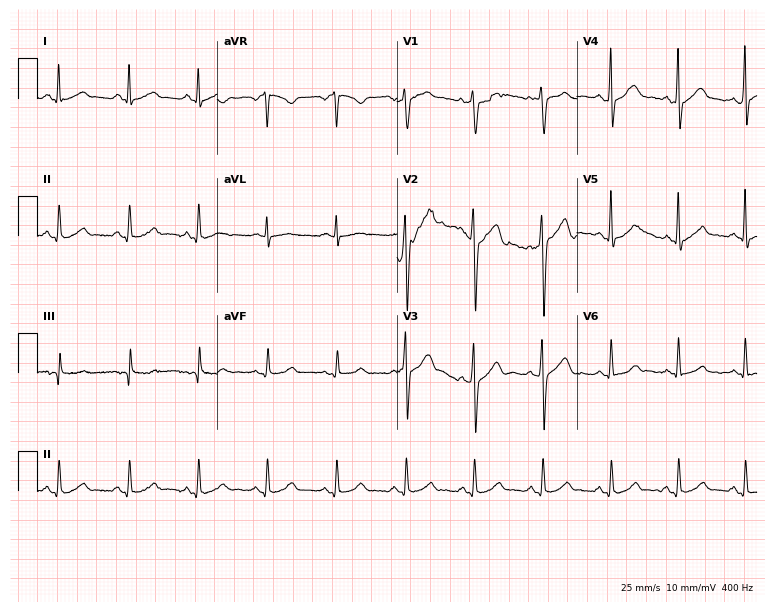
Standard 12-lead ECG recorded from a man, 61 years old (7.3-second recording at 400 Hz). Read as a normal ECG.